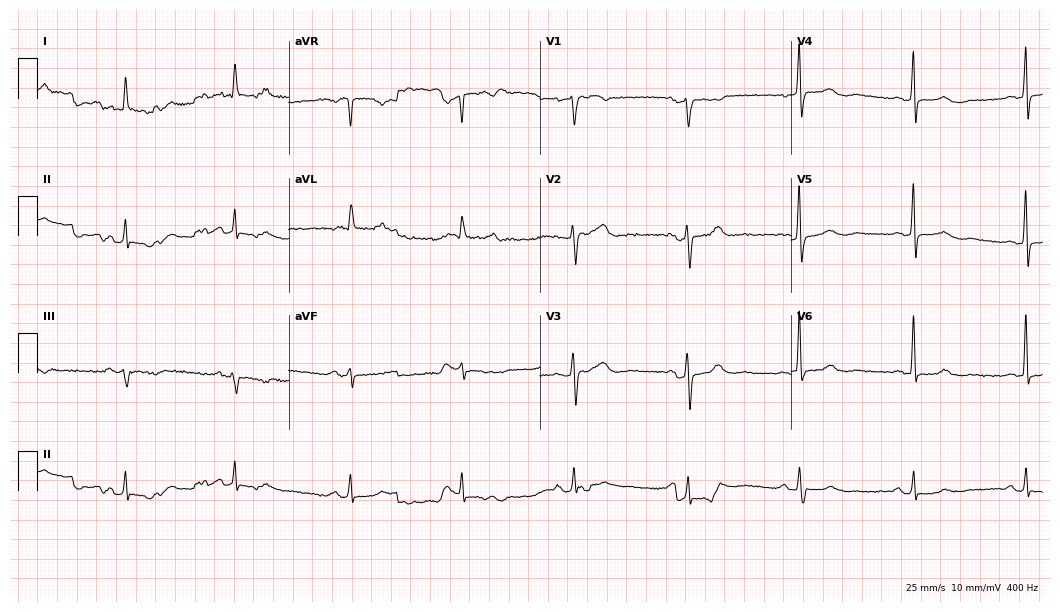
Resting 12-lead electrocardiogram (10.2-second recording at 400 Hz). Patient: a female, 54 years old. None of these six findings is recorded: first-degree AV block, right bundle branch block, left bundle branch block, sinus bradycardia, atrial fibrillation, sinus tachycardia.